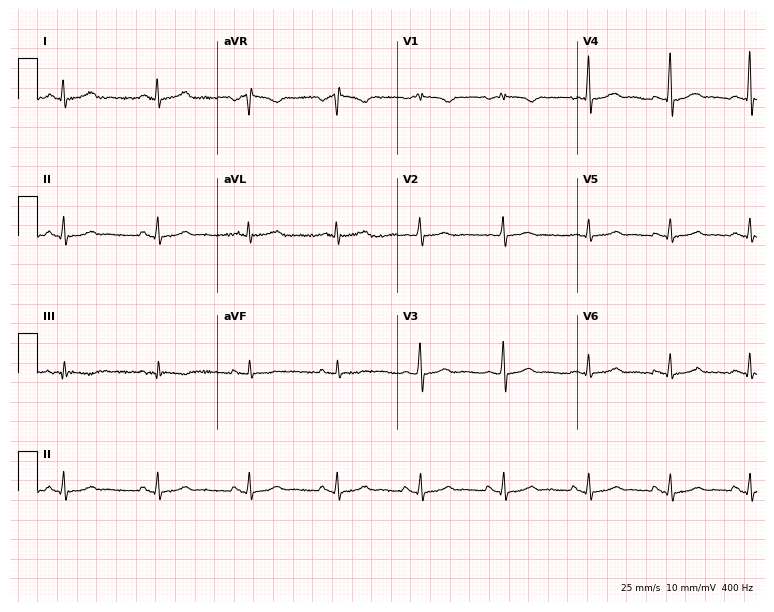
Electrocardiogram, a 59-year-old female patient. Of the six screened findings (first-degree AV block, right bundle branch block (RBBB), left bundle branch block (LBBB), sinus bradycardia, atrial fibrillation (AF), sinus tachycardia), none is recorded.